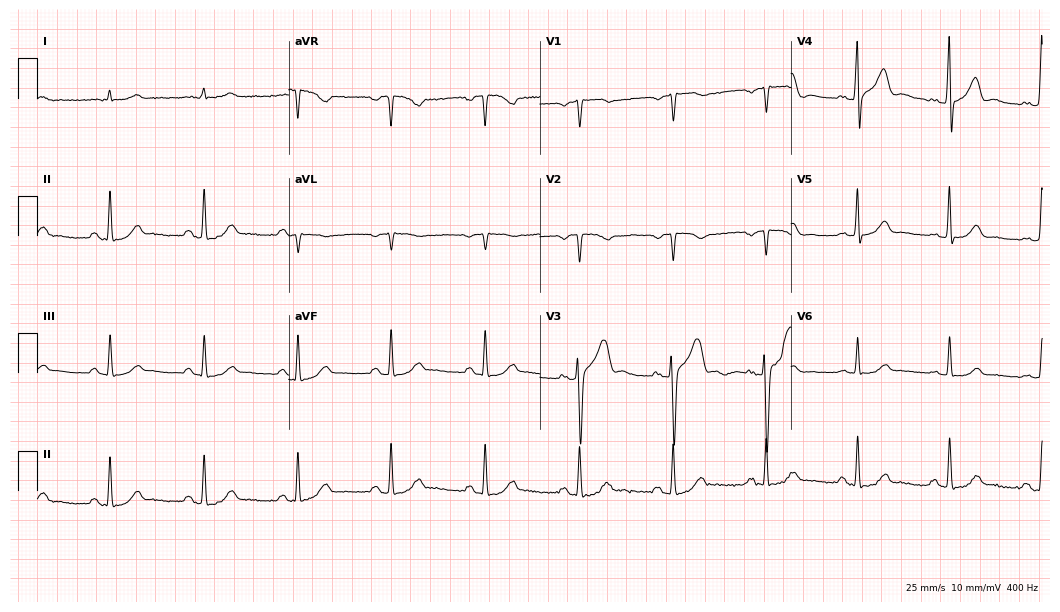
ECG — a 76-year-old male. Labelled as a normal ECG.